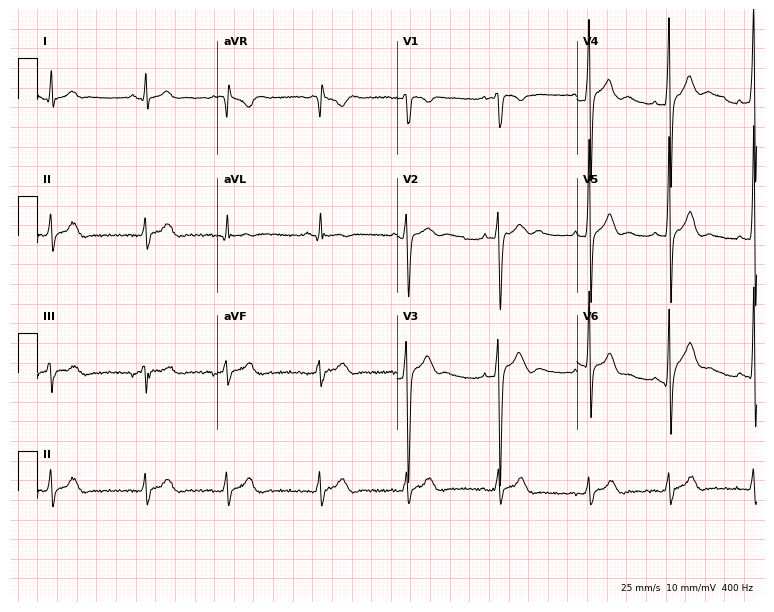
ECG (7.3-second recording at 400 Hz) — an 18-year-old male patient. Screened for six findings — first-degree AV block, right bundle branch block, left bundle branch block, sinus bradycardia, atrial fibrillation, sinus tachycardia — none is recorded.